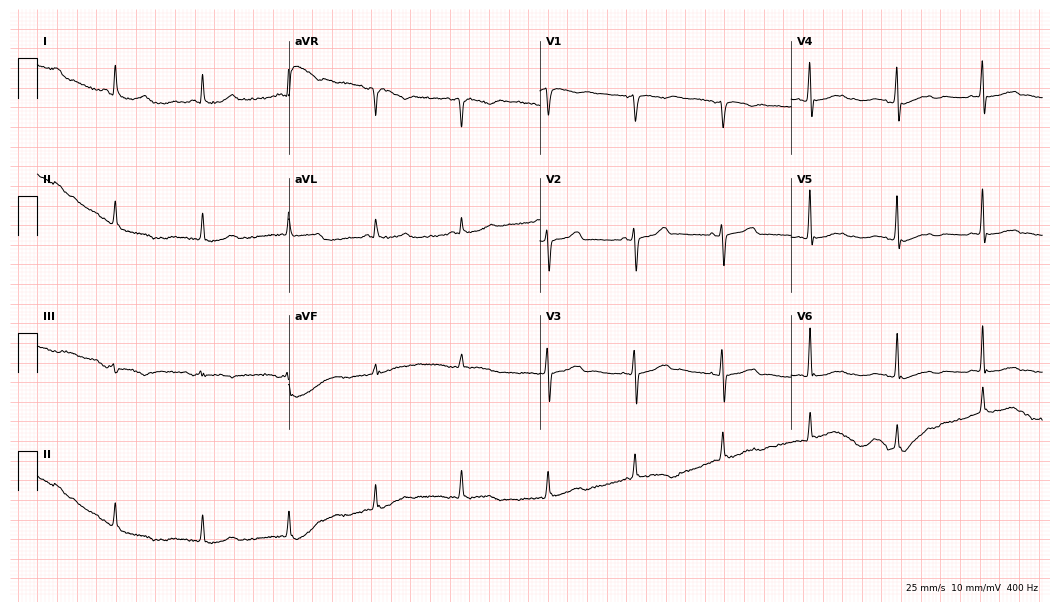
12-lead ECG from a female, 78 years old. No first-degree AV block, right bundle branch block (RBBB), left bundle branch block (LBBB), sinus bradycardia, atrial fibrillation (AF) or sinus tachycardia recorded for this tracing. Findings outside these six are not listed.